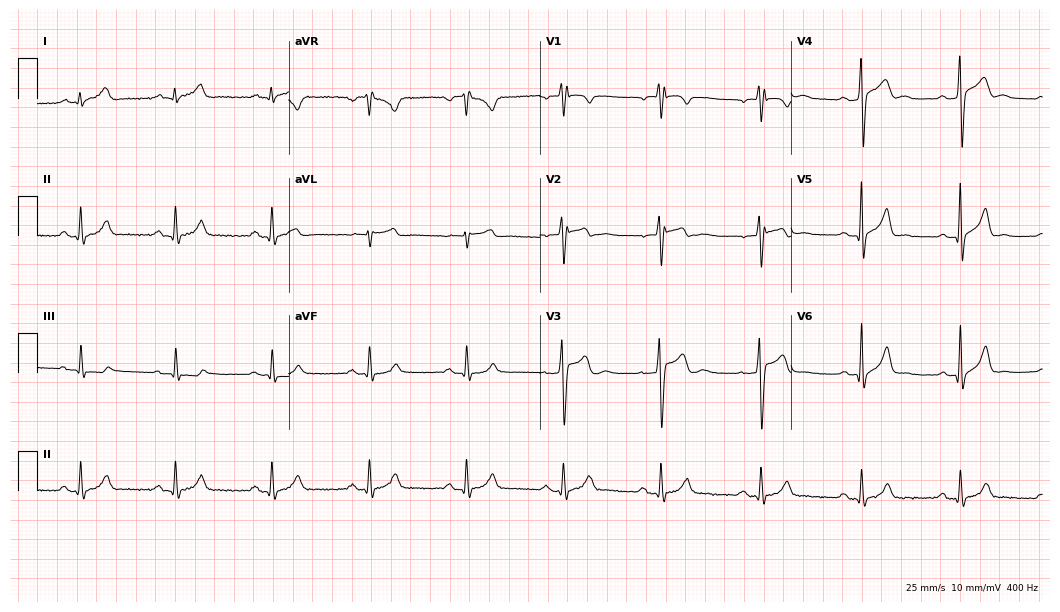
Electrocardiogram, a male patient, 32 years old. Of the six screened findings (first-degree AV block, right bundle branch block, left bundle branch block, sinus bradycardia, atrial fibrillation, sinus tachycardia), none is recorded.